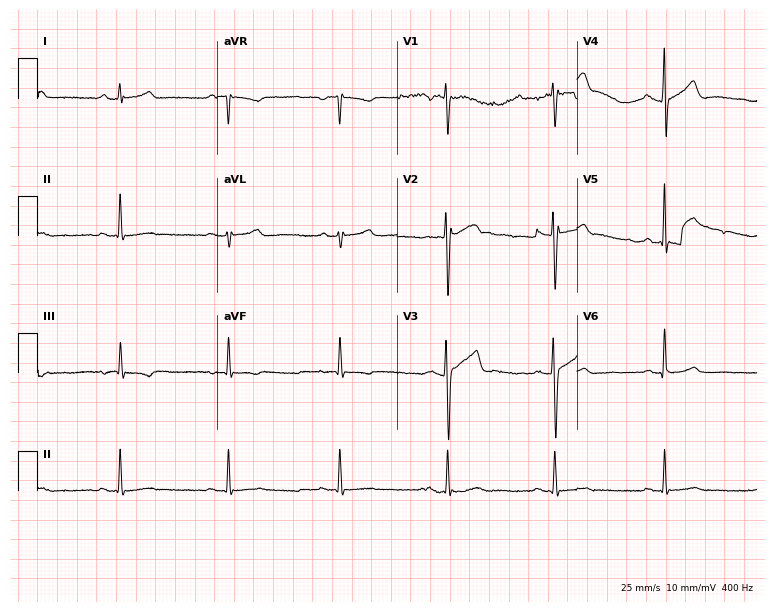
Standard 12-lead ECG recorded from a man, 23 years old (7.3-second recording at 400 Hz). Read as a normal ECG.